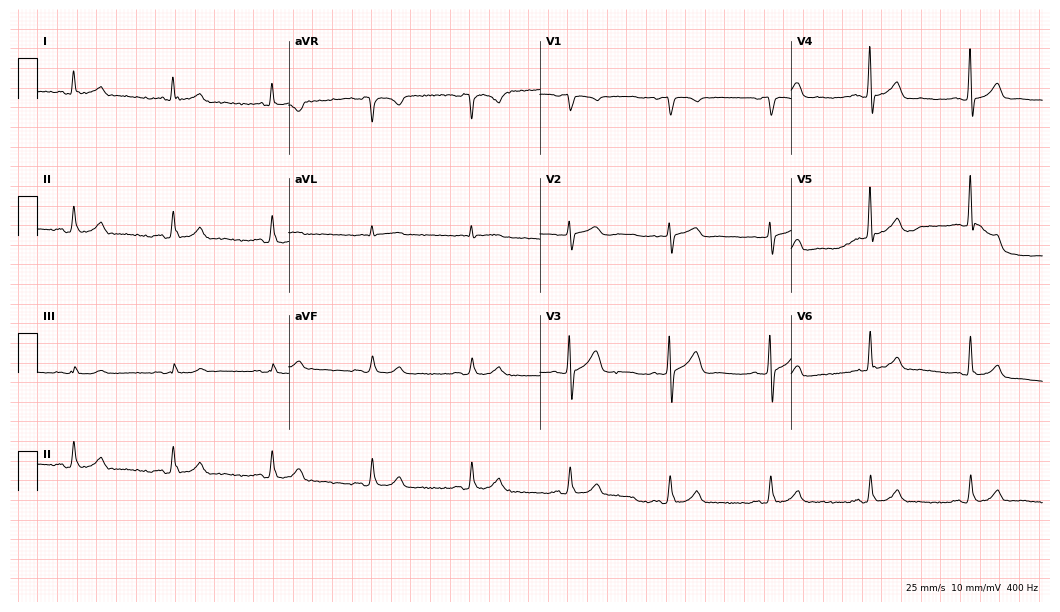
Resting 12-lead electrocardiogram. Patient: a male, 79 years old. Read as a normal ECG.